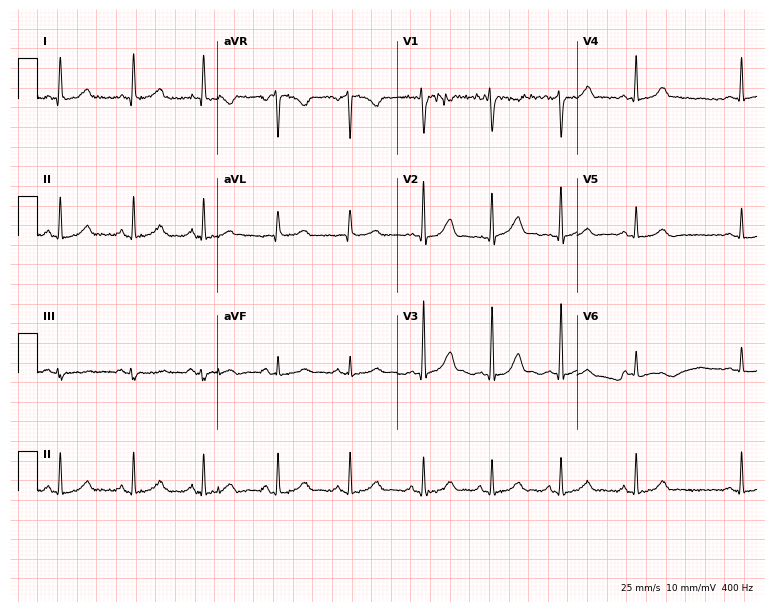
Standard 12-lead ECG recorded from a 34-year-old female (7.3-second recording at 400 Hz). Read as a normal ECG.